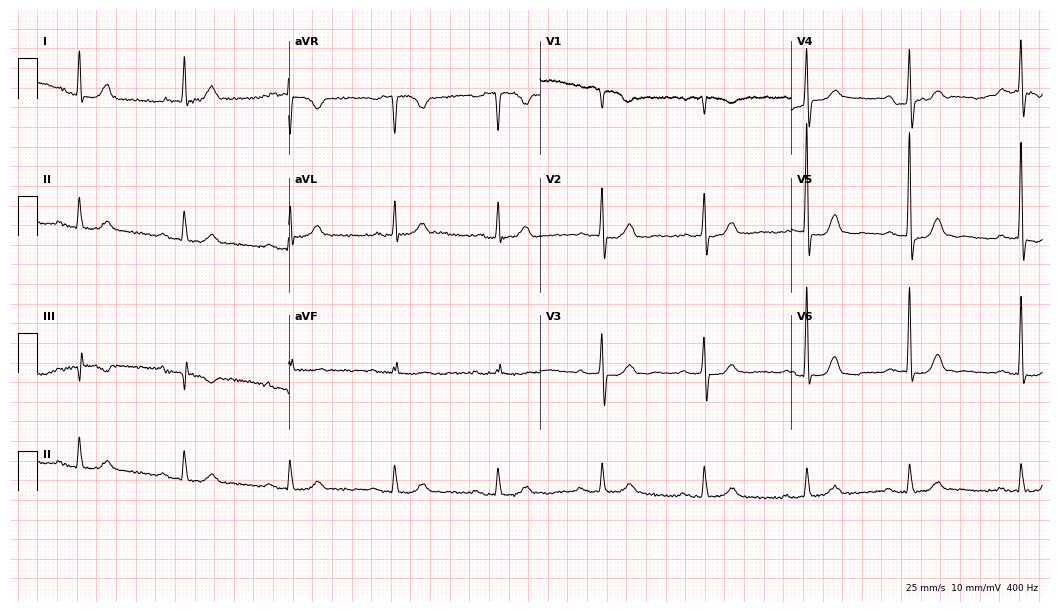
12-lead ECG from a 76-year-old female patient. Shows first-degree AV block.